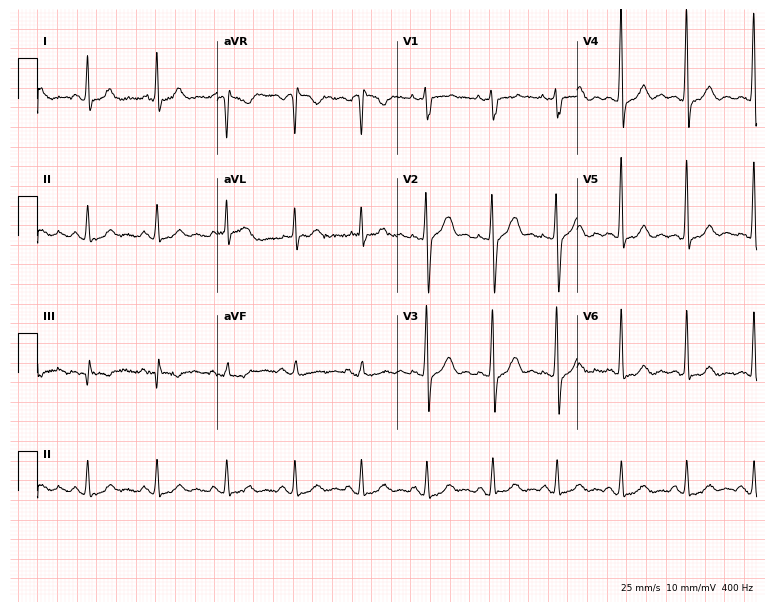
12-lead ECG from a male, 56 years old. Screened for six findings — first-degree AV block, right bundle branch block, left bundle branch block, sinus bradycardia, atrial fibrillation, sinus tachycardia — none is recorded. Findings outside these six are not listed.